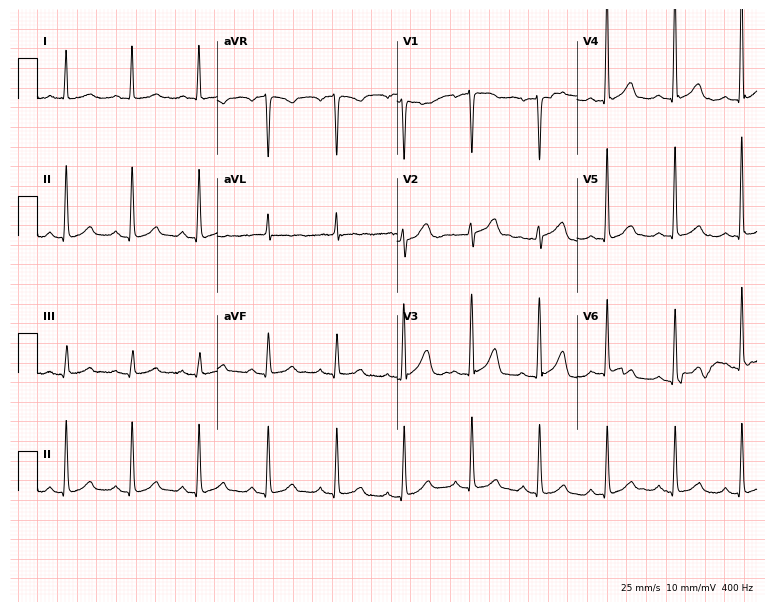
Electrocardiogram (7.3-second recording at 400 Hz), an 80-year-old female. Of the six screened findings (first-degree AV block, right bundle branch block, left bundle branch block, sinus bradycardia, atrial fibrillation, sinus tachycardia), none is recorded. Only these six findings were labelled.